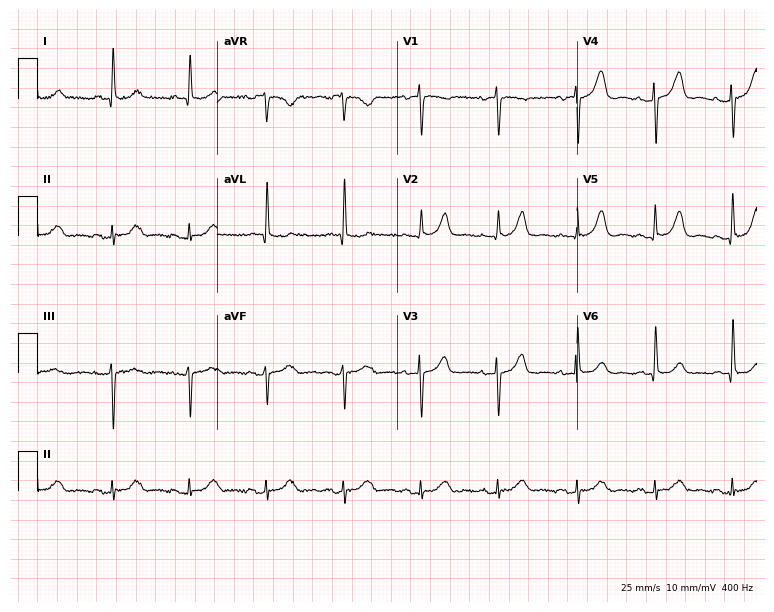
Standard 12-lead ECG recorded from a woman, 70 years old. Read as a normal ECG.